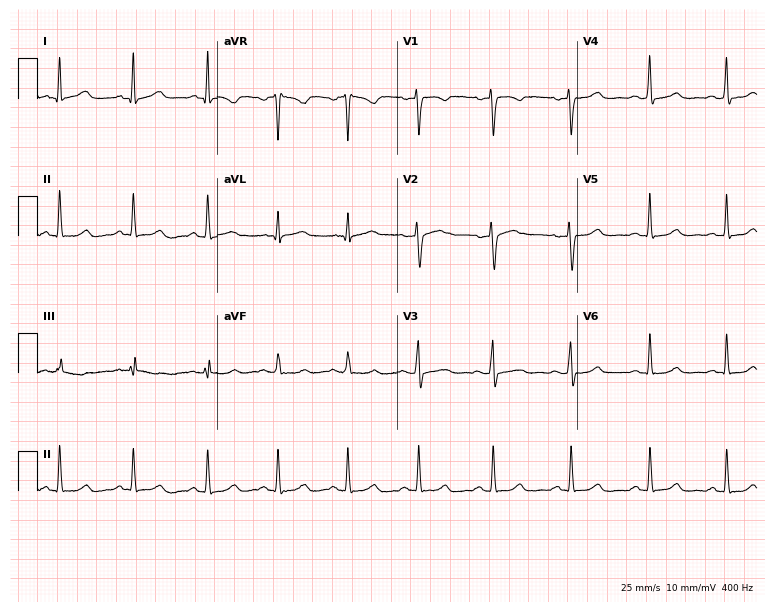
Resting 12-lead electrocardiogram (7.3-second recording at 400 Hz). Patient: a female, 31 years old. Read as a normal ECG.